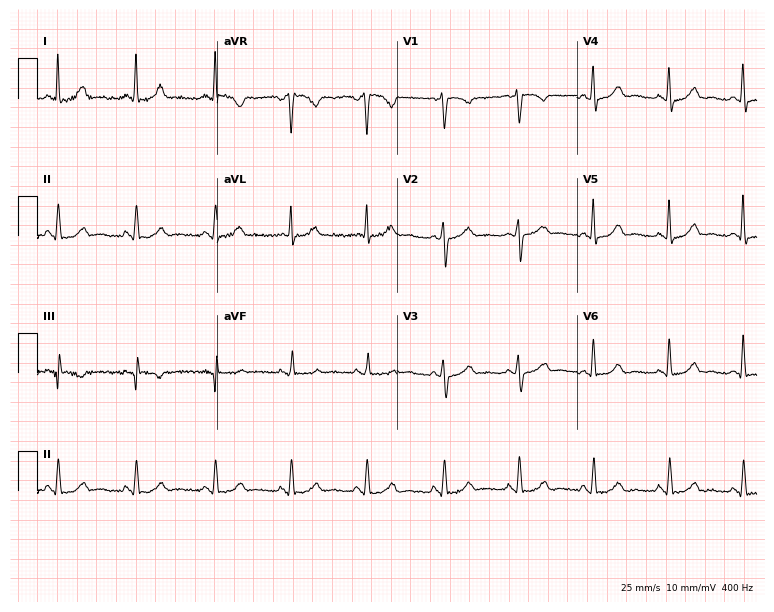
ECG (7.3-second recording at 400 Hz) — a 52-year-old female patient. Labelled as a normal ECG.